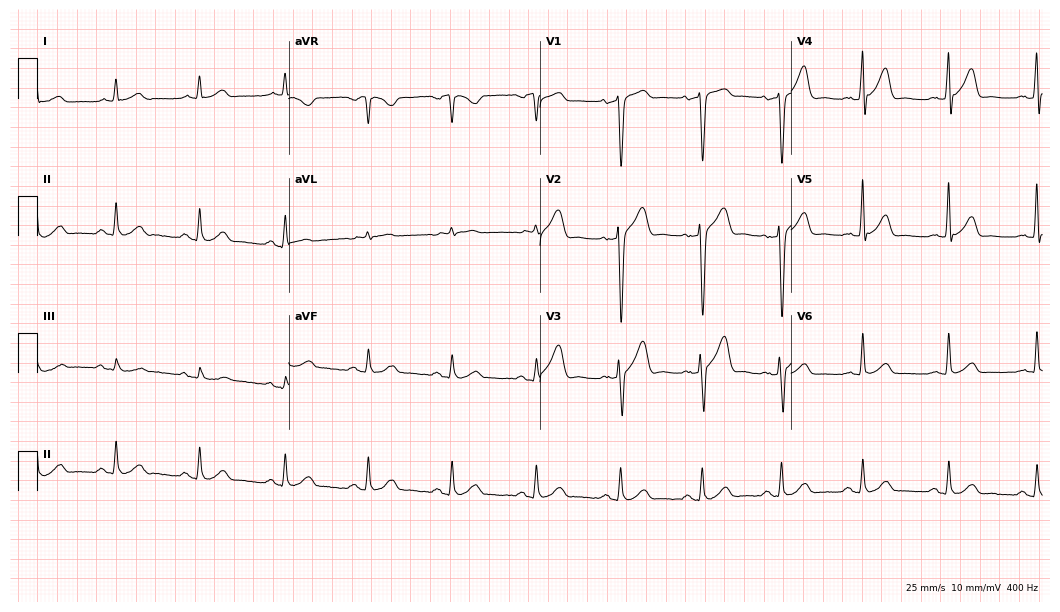
Standard 12-lead ECG recorded from a 47-year-old male patient. Read as a normal ECG.